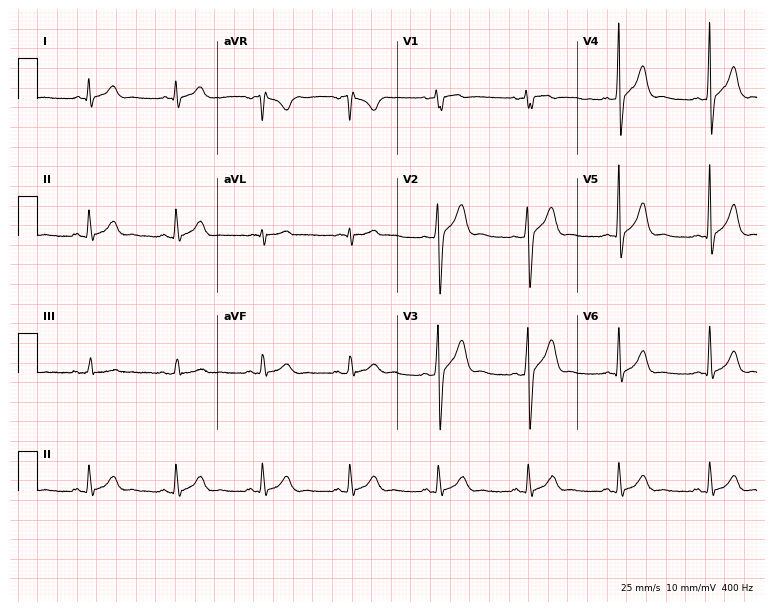
12-lead ECG from a 60-year-old male (7.3-second recording at 400 Hz). Recorded interpretation: within normal limits.